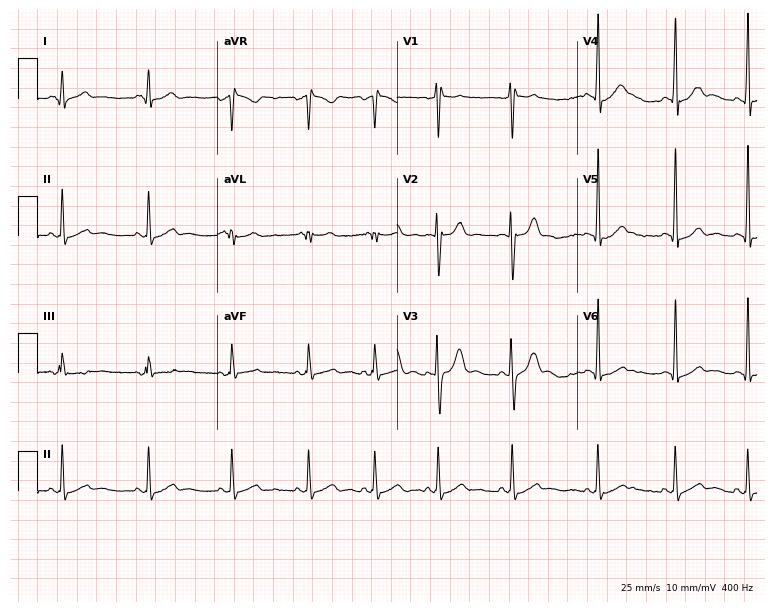
12-lead ECG from a male, 24 years old (7.3-second recording at 400 Hz). Recorded interpretation: within normal limits.